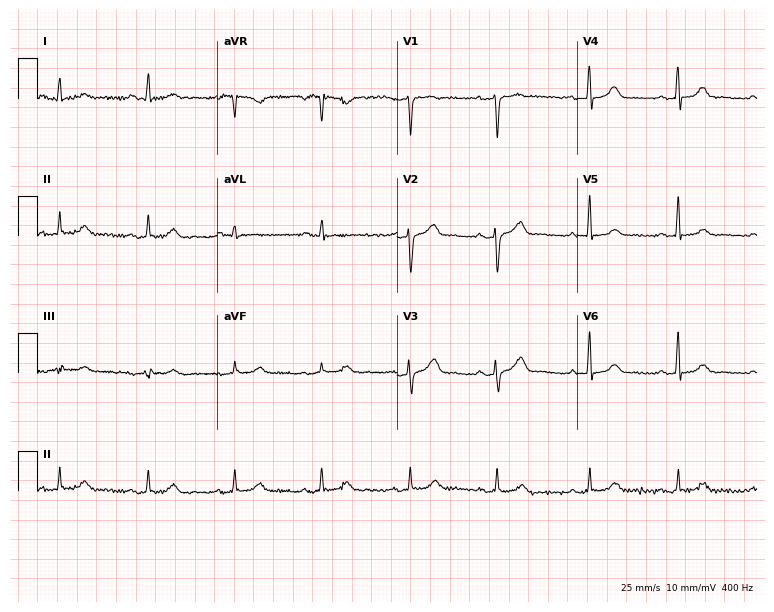
ECG (7.3-second recording at 400 Hz) — a 33-year-old woman. Labelled as a normal ECG.